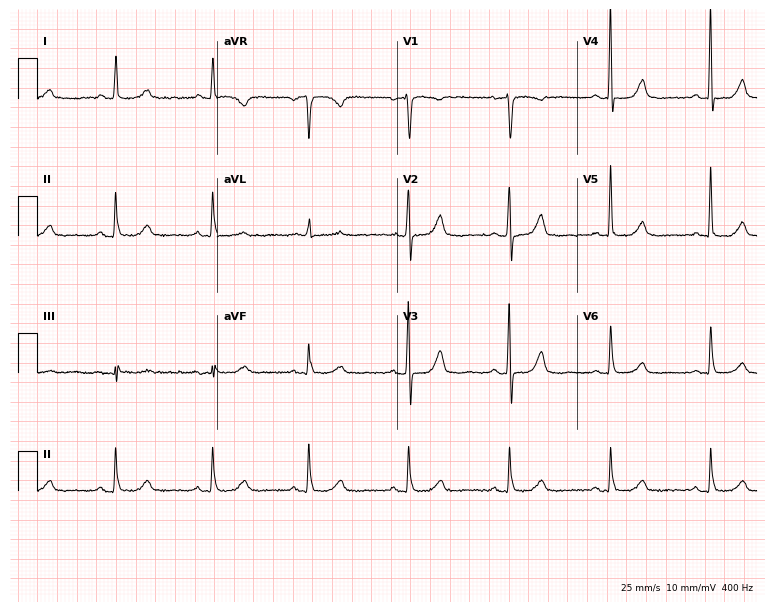
12-lead ECG from a woman, 72 years old. No first-degree AV block, right bundle branch block (RBBB), left bundle branch block (LBBB), sinus bradycardia, atrial fibrillation (AF) or sinus tachycardia recorded for this tracing. Only these six findings were labelled.